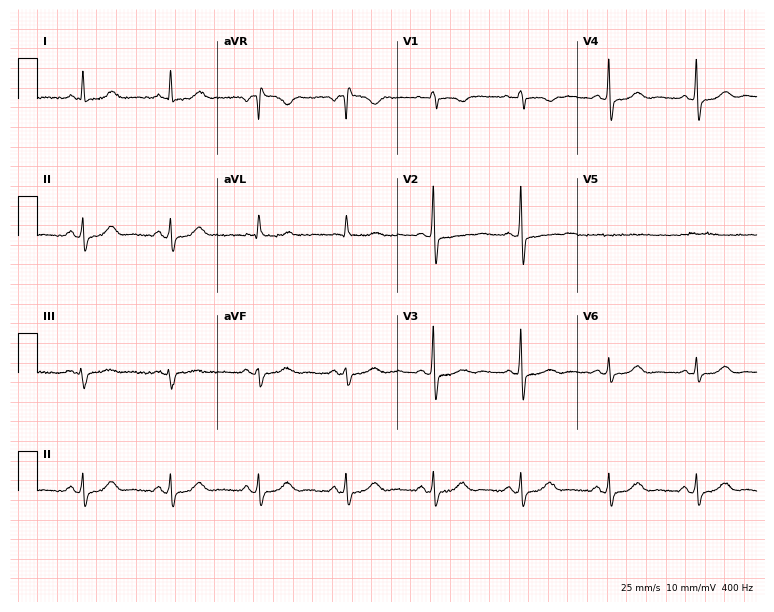
Resting 12-lead electrocardiogram (7.3-second recording at 400 Hz). Patient: a woman, 77 years old. Read as a normal ECG.